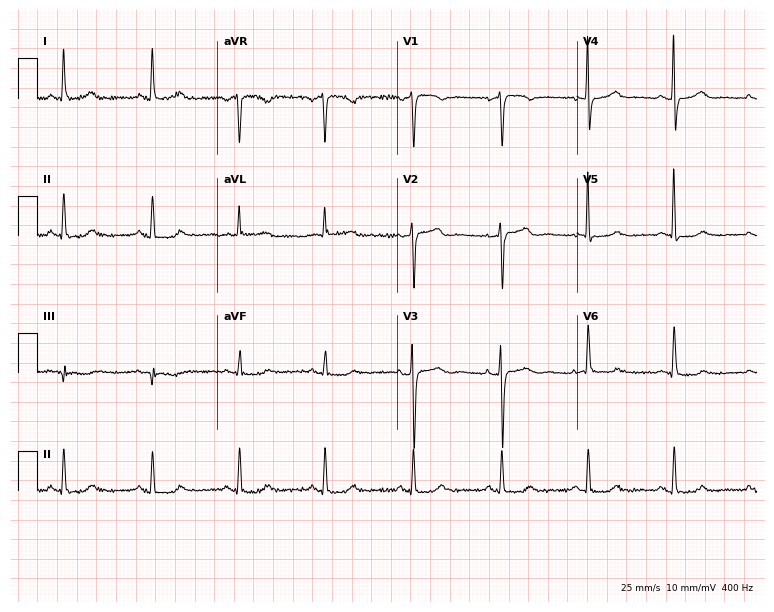
Electrocardiogram (7.3-second recording at 400 Hz), a woman, 65 years old. Overall reading on record: normal ECG.